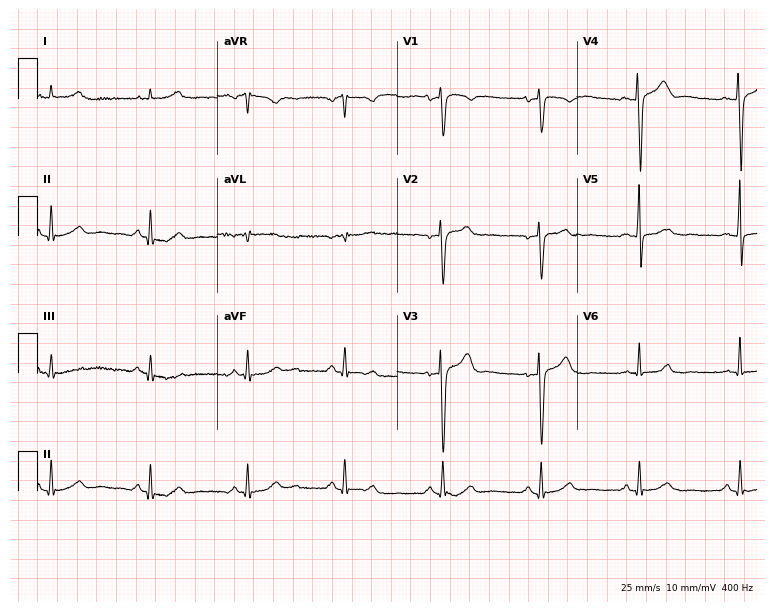
12-lead ECG from a 42-year-old man. No first-degree AV block, right bundle branch block (RBBB), left bundle branch block (LBBB), sinus bradycardia, atrial fibrillation (AF) or sinus tachycardia recorded for this tracing.